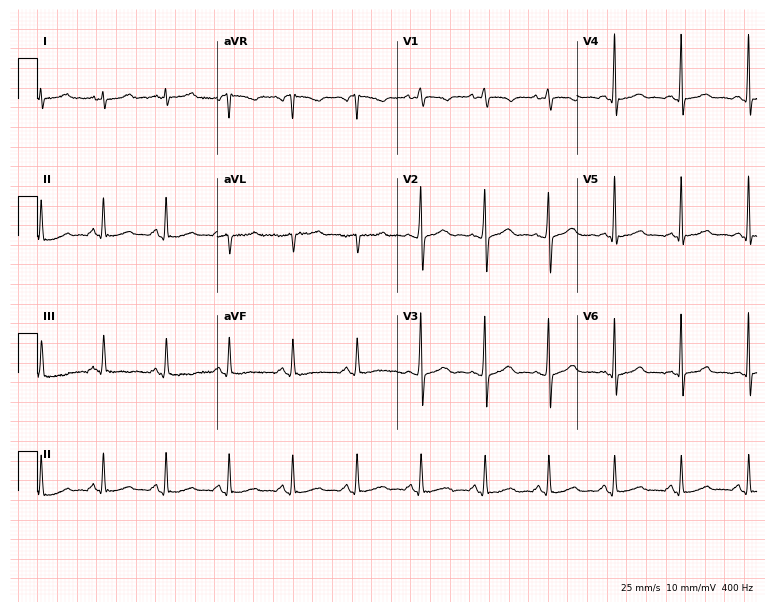
Standard 12-lead ECG recorded from a woman, 45 years old (7.3-second recording at 400 Hz). None of these six findings is recorded: first-degree AV block, right bundle branch block, left bundle branch block, sinus bradycardia, atrial fibrillation, sinus tachycardia.